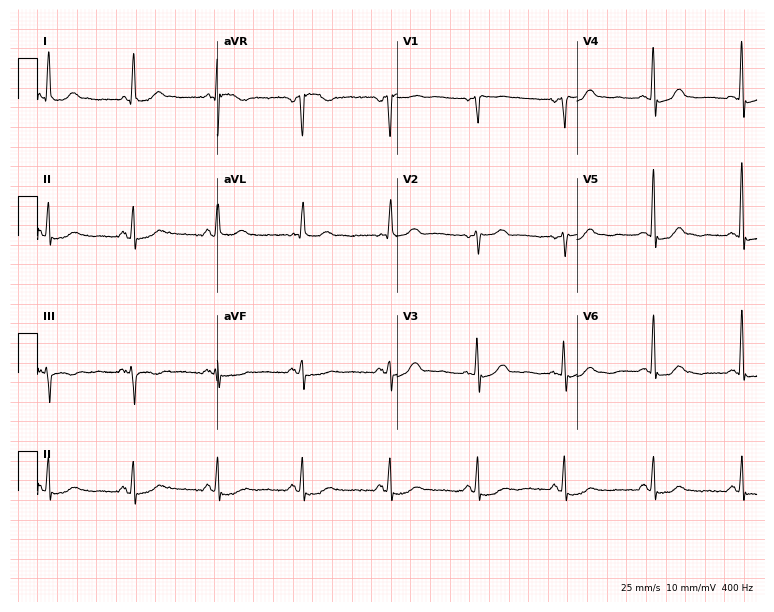
ECG — a female patient, 60 years old. Screened for six findings — first-degree AV block, right bundle branch block (RBBB), left bundle branch block (LBBB), sinus bradycardia, atrial fibrillation (AF), sinus tachycardia — none is recorded. Findings outside these six are not listed.